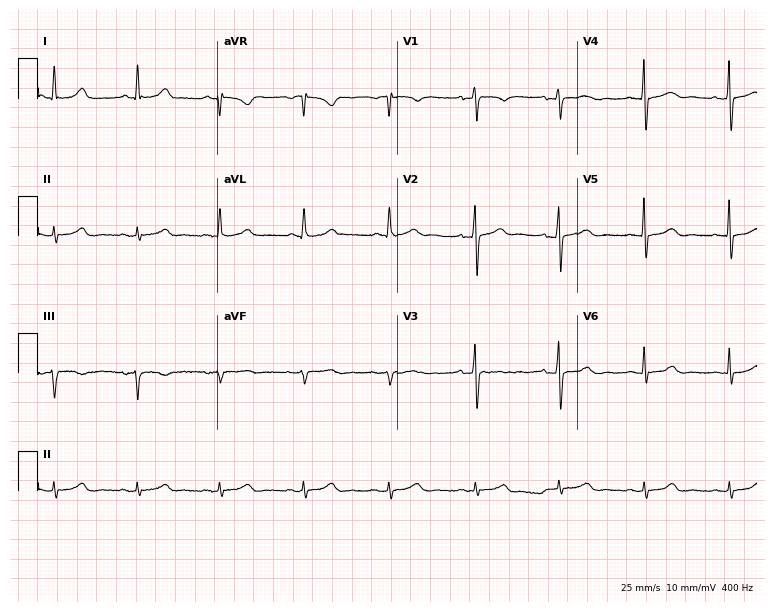
12-lead ECG from a 66-year-old woman (7.3-second recording at 400 Hz). Recorded interpretation: within normal limits.